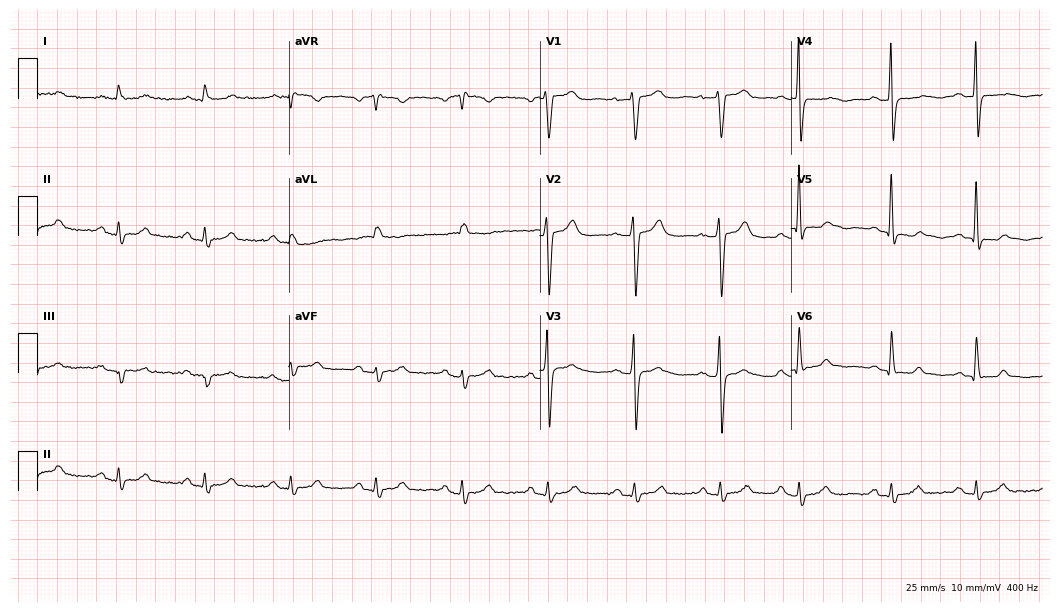
ECG (10.2-second recording at 400 Hz) — a 69-year-old man. Screened for six findings — first-degree AV block, right bundle branch block, left bundle branch block, sinus bradycardia, atrial fibrillation, sinus tachycardia — none is recorded.